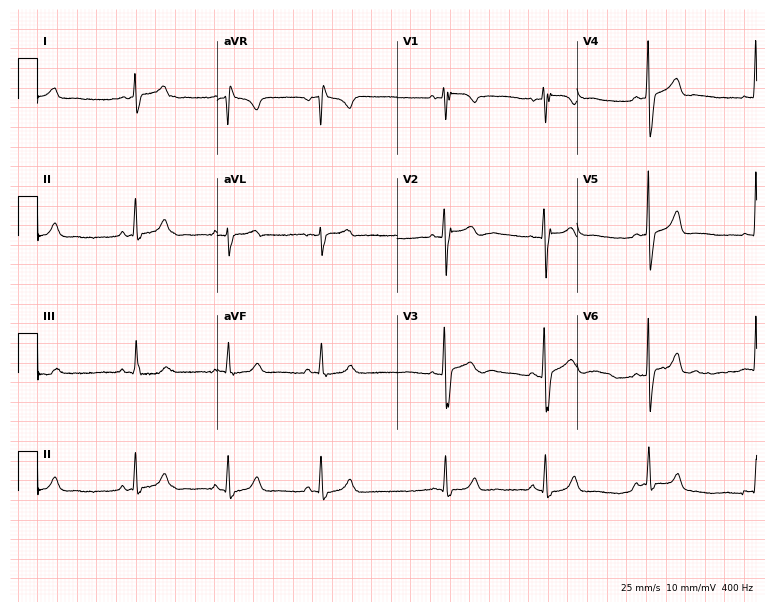
12-lead ECG from a man, 25 years old. Labelled as a normal ECG.